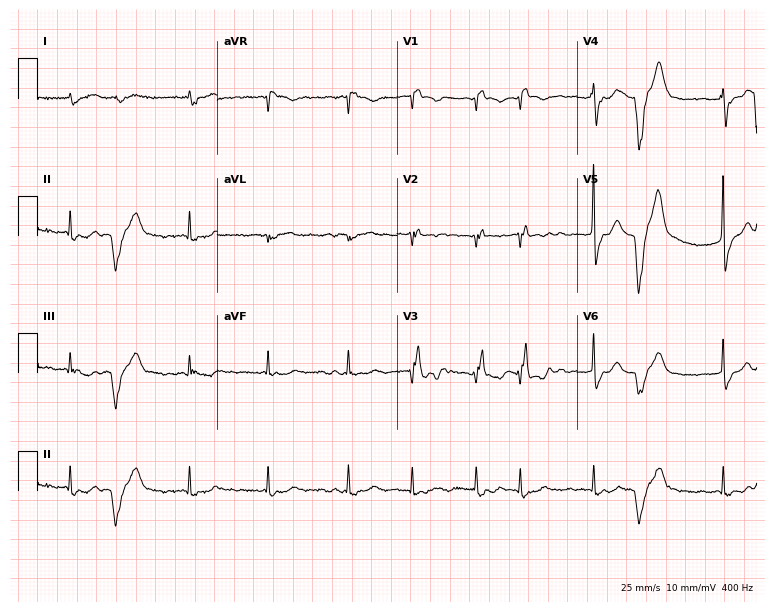
Electrocardiogram, a female, 73 years old. Interpretation includes atrial fibrillation.